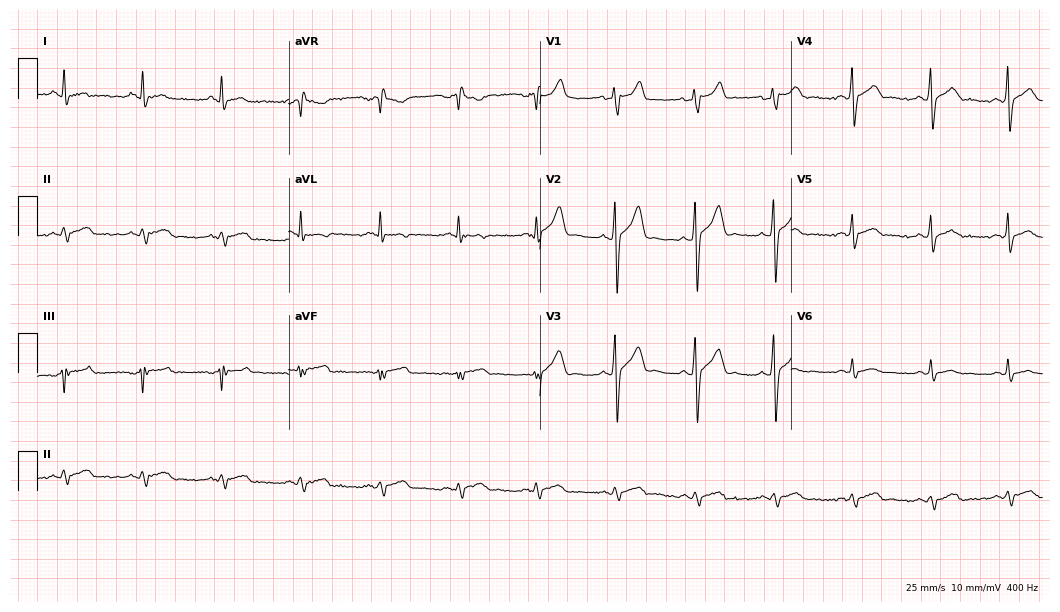
Electrocardiogram (10.2-second recording at 400 Hz), a man, 45 years old. Of the six screened findings (first-degree AV block, right bundle branch block (RBBB), left bundle branch block (LBBB), sinus bradycardia, atrial fibrillation (AF), sinus tachycardia), none is recorded. Only these six findings were labelled.